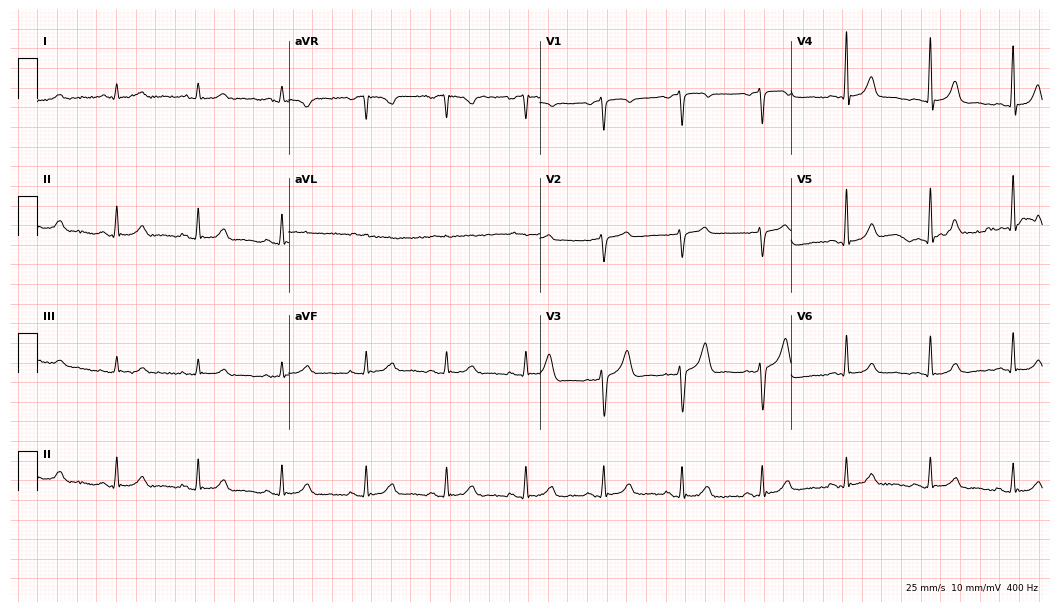
Electrocardiogram, a 55-year-old male patient. Overall reading on record: normal ECG.